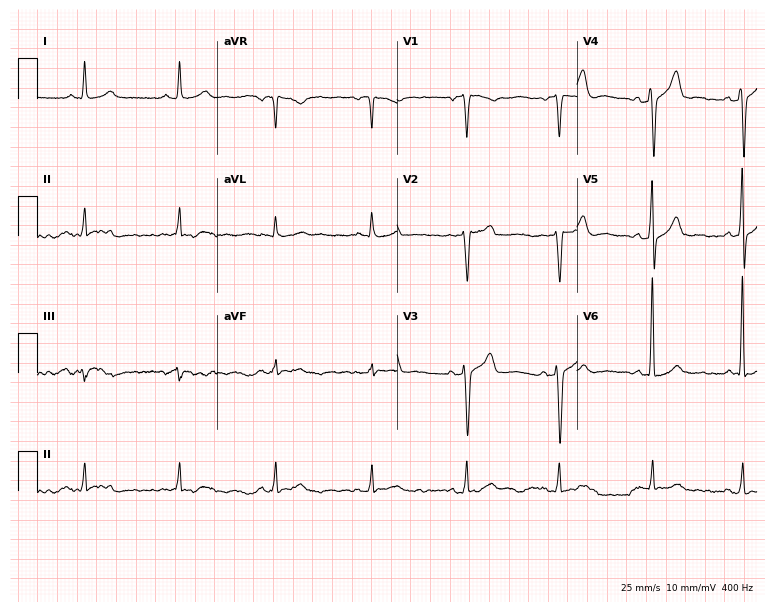
Electrocardiogram (7.3-second recording at 400 Hz), a man, 61 years old. Overall reading on record: normal ECG.